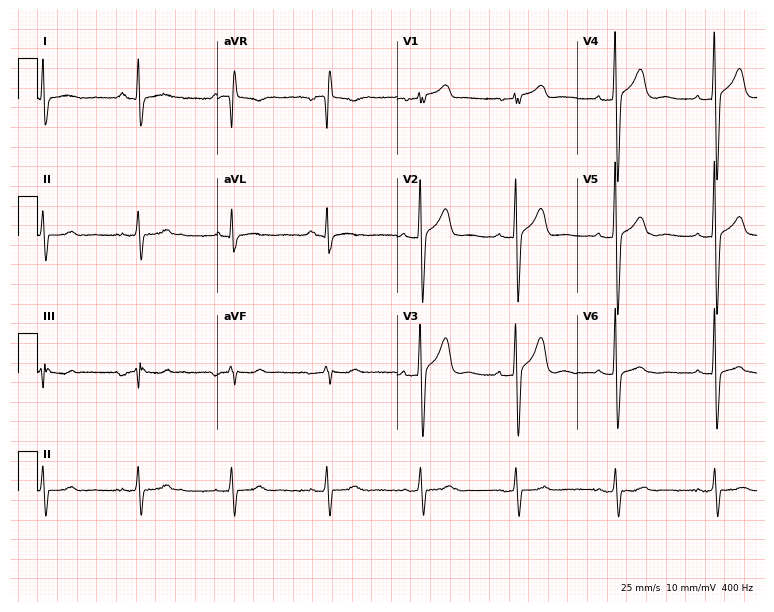
12-lead ECG (7.3-second recording at 400 Hz) from a 41-year-old male. Screened for six findings — first-degree AV block, right bundle branch block, left bundle branch block, sinus bradycardia, atrial fibrillation, sinus tachycardia — none is recorded.